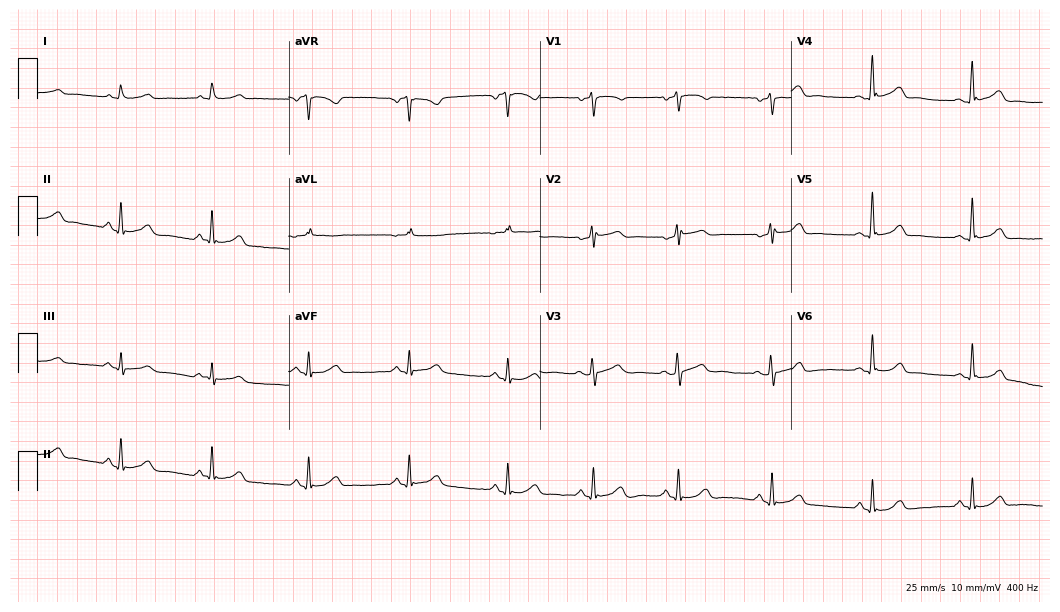
Electrocardiogram, a 69-year-old woman. Overall reading on record: normal ECG.